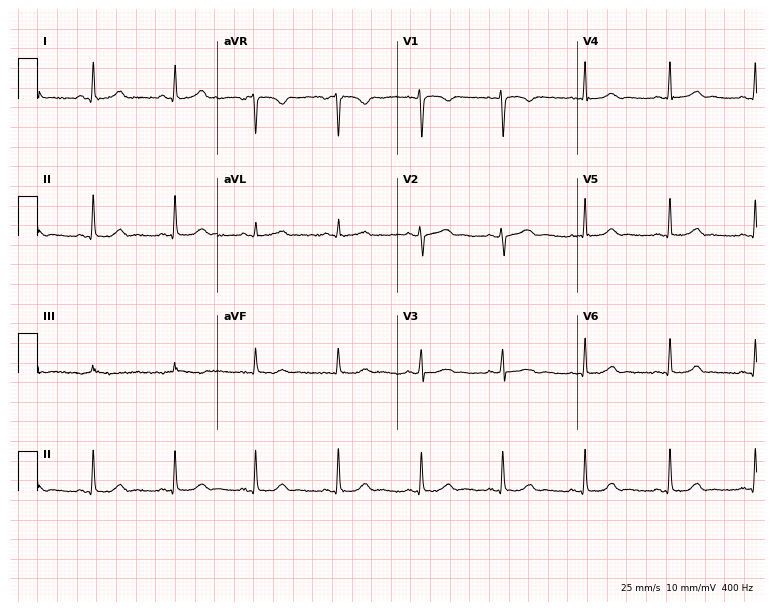
Resting 12-lead electrocardiogram. Patient: a woman, 30 years old. None of these six findings is recorded: first-degree AV block, right bundle branch block, left bundle branch block, sinus bradycardia, atrial fibrillation, sinus tachycardia.